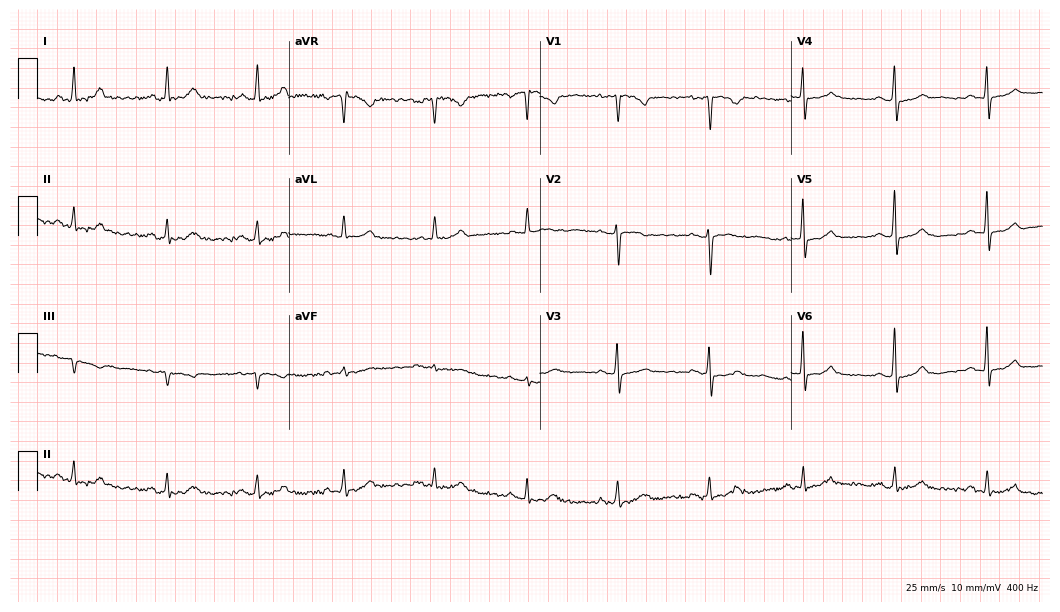
ECG (10.2-second recording at 400 Hz) — a 61-year-old female. Labelled as a normal ECG.